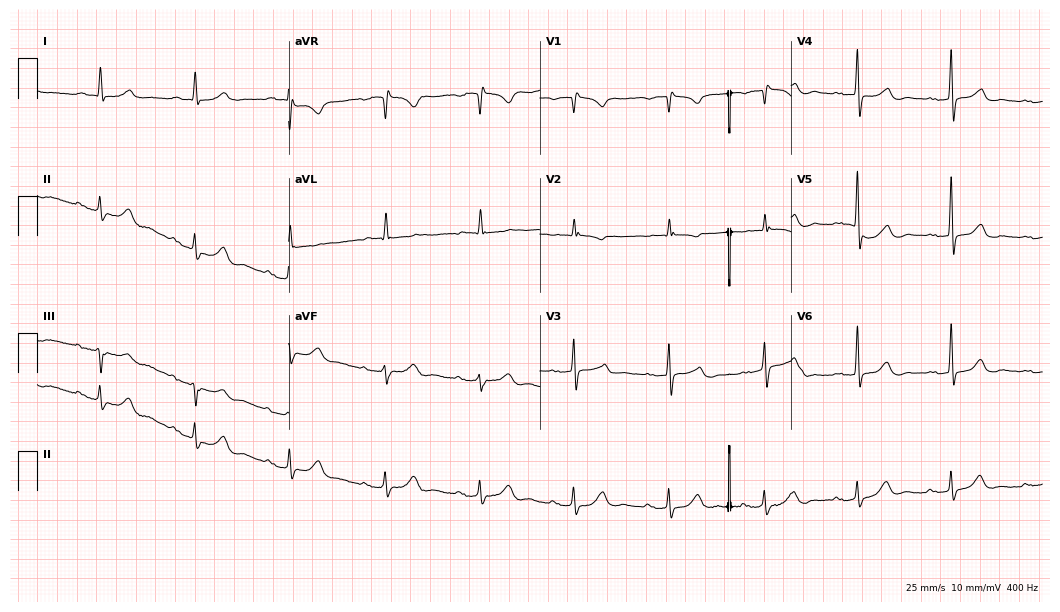
12-lead ECG (10.2-second recording at 400 Hz) from a man, 85 years old. Findings include first-degree AV block.